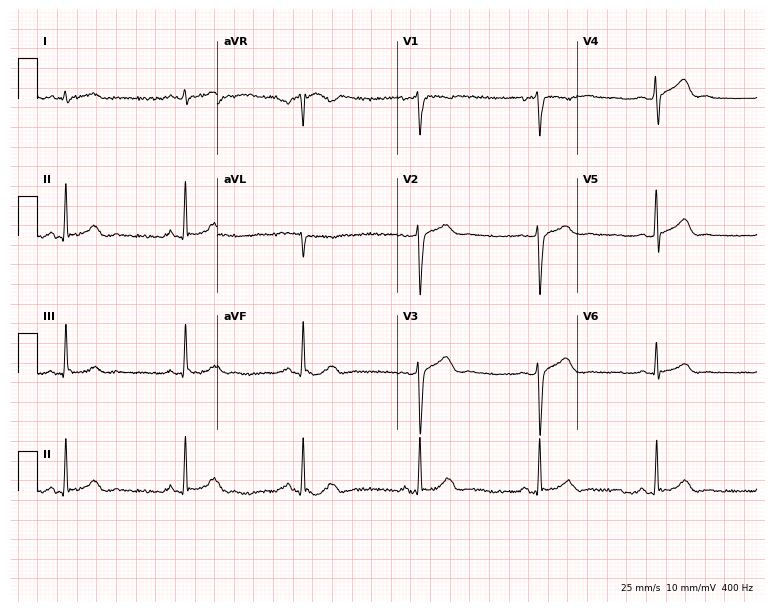
Standard 12-lead ECG recorded from a man, 40 years old (7.3-second recording at 400 Hz). Read as a normal ECG.